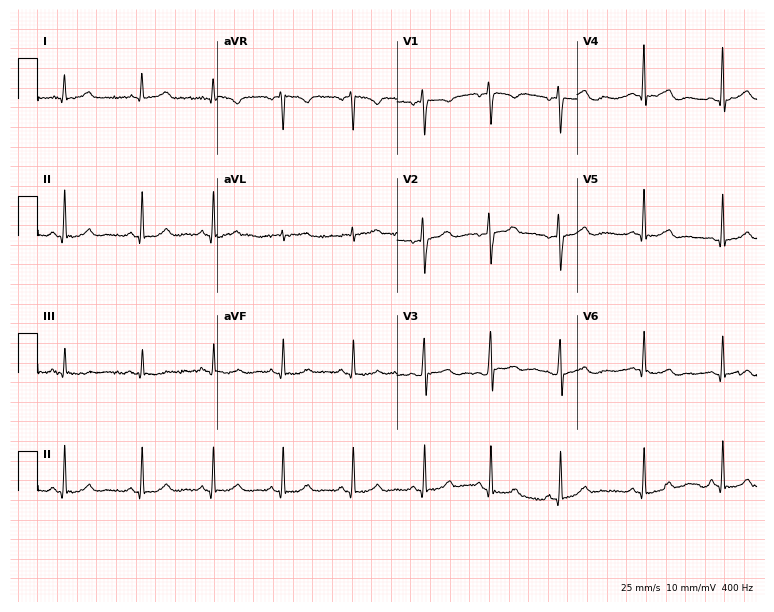
12-lead ECG from a female, 22 years old (7.3-second recording at 400 Hz). Recorded interpretation: within normal limits.